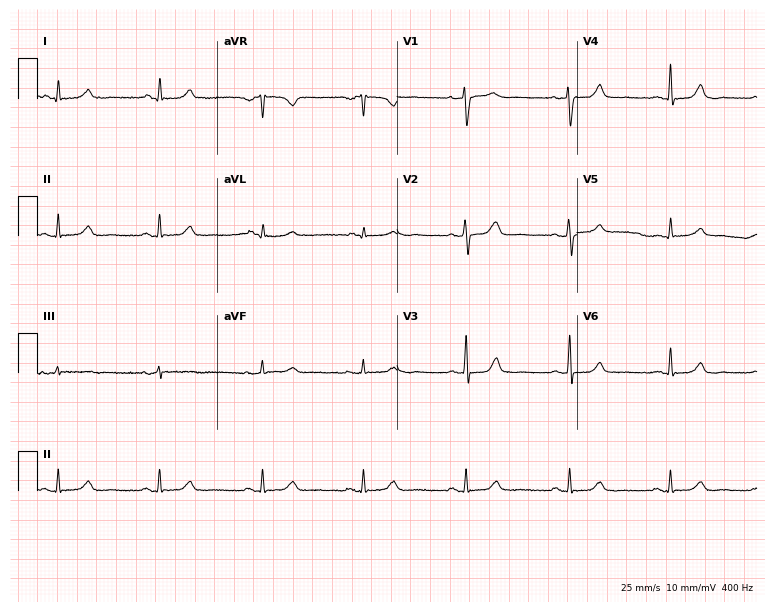
12-lead ECG (7.3-second recording at 400 Hz) from a 51-year-old woman. Screened for six findings — first-degree AV block, right bundle branch block, left bundle branch block, sinus bradycardia, atrial fibrillation, sinus tachycardia — none is recorded. Findings outside these six are not listed.